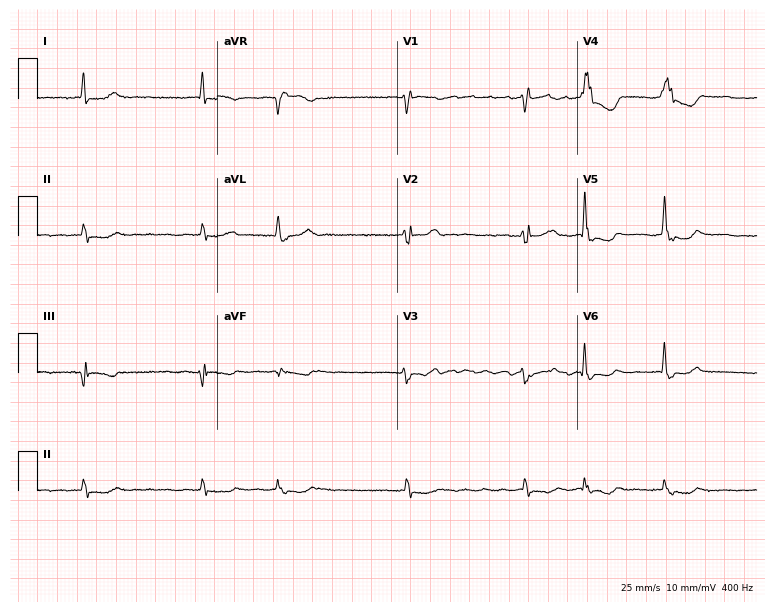
Standard 12-lead ECG recorded from a female, 80 years old (7.3-second recording at 400 Hz). The tracing shows atrial fibrillation.